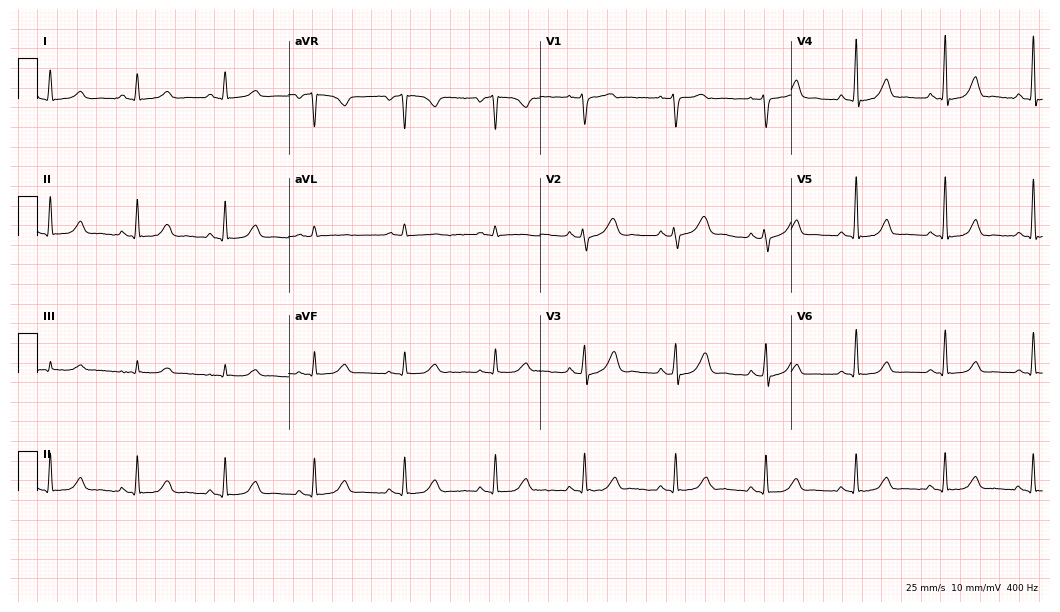
Electrocardiogram (10.2-second recording at 400 Hz), a female, 50 years old. Of the six screened findings (first-degree AV block, right bundle branch block, left bundle branch block, sinus bradycardia, atrial fibrillation, sinus tachycardia), none is recorded.